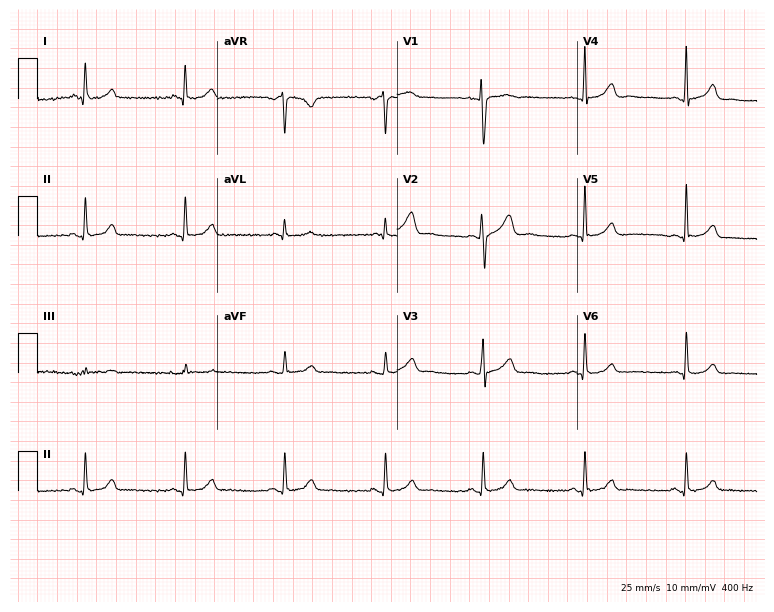
Electrocardiogram, a female, 31 years old. Overall reading on record: normal ECG.